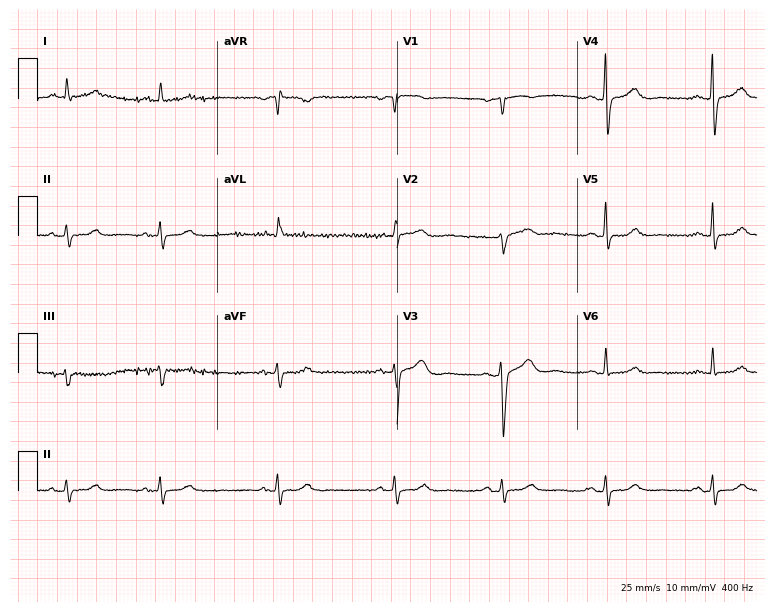
Resting 12-lead electrocardiogram (7.3-second recording at 400 Hz). Patient: a 72-year-old female. None of these six findings is recorded: first-degree AV block, right bundle branch block, left bundle branch block, sinus bradycardia, atrial fibrillation, sinus tachycardia. Findings outside these six are not listed.